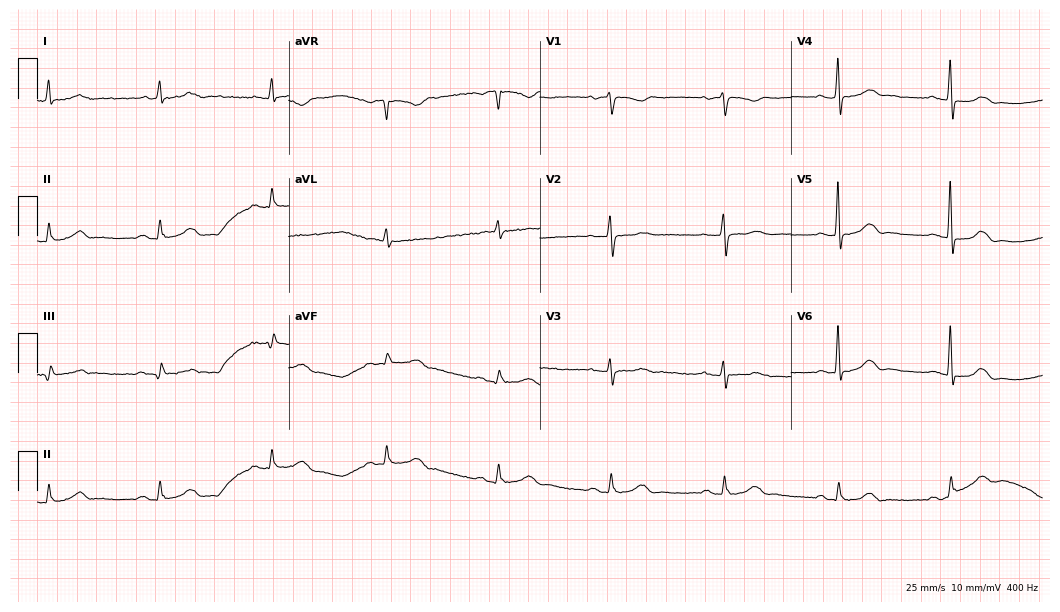
Electrocardiogram (10.2-second recording at 400 Hz), a woman, 84 years old. Of the six screened findings (first-degree AV block, right bundle branch block (RBBB), left bundle branch block (LBBB), sinus bradycardia, atrial fibrillation (AF), sinus tachycardia), none is recorded. Only these six findings were labelled.